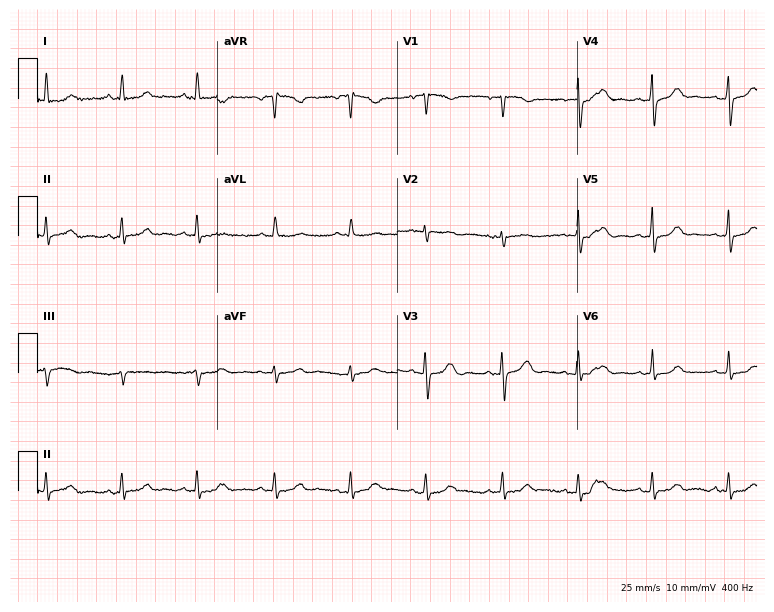
12-lead ECG from a female, 84 years old. Labelled as a normal ECG.